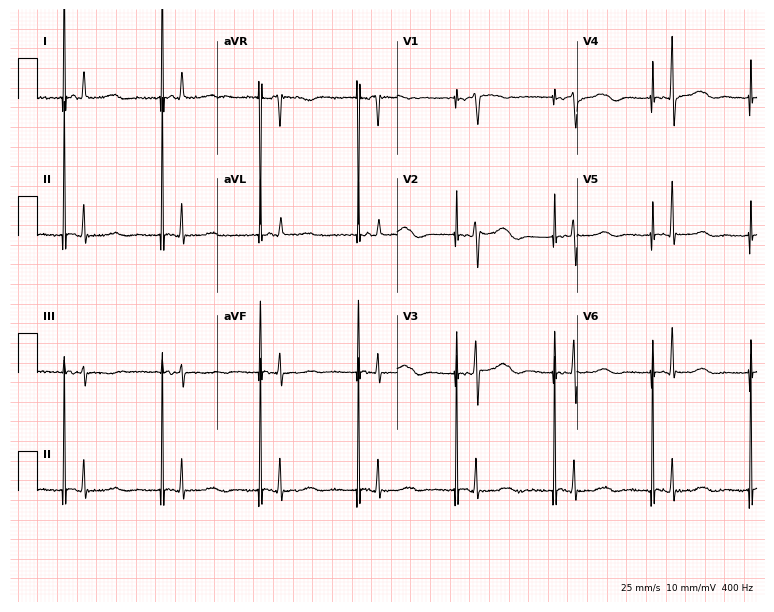
Standard 12-lead ECG recorded from a woman, 79 years old. None of these six findings is recorded: first-degree AV block, right bundle branch block, left bundle branch block, sinus bradycardia, atrial fibrillation, sinus tachycardia.